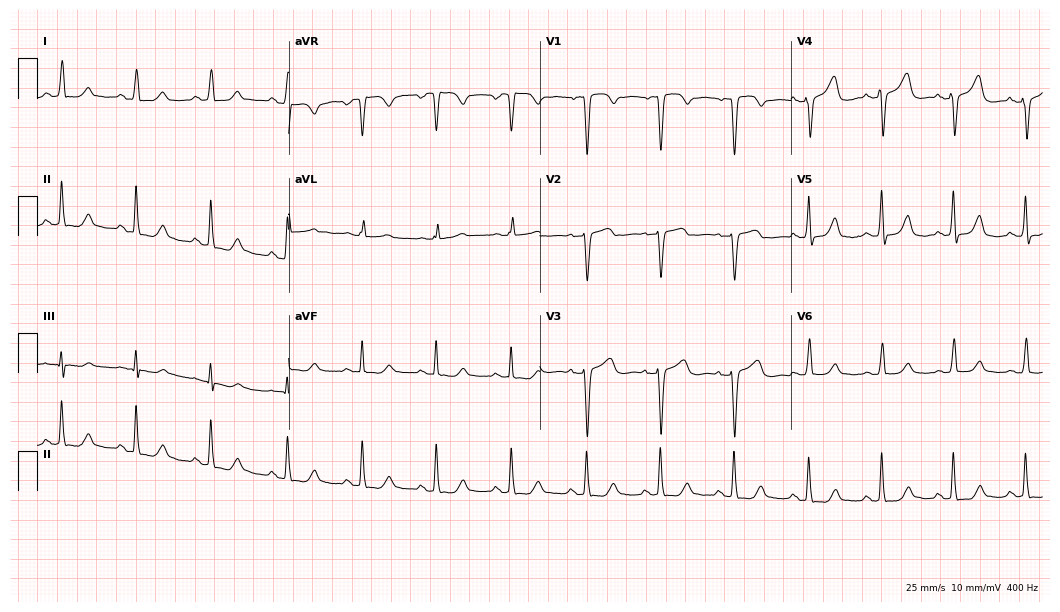
Electrocardiogram (10.2-second recording at 400 Hz), a 53-year-old female patient. Of the six screened findings (first-degree AV block, right bundle branch block (RBBB), left bundle branch block (LBBB), sinus bradycardia, atrial fibrillation (AF), sinus tachycardia), none is recorded. Other findings, if any, are not listed.